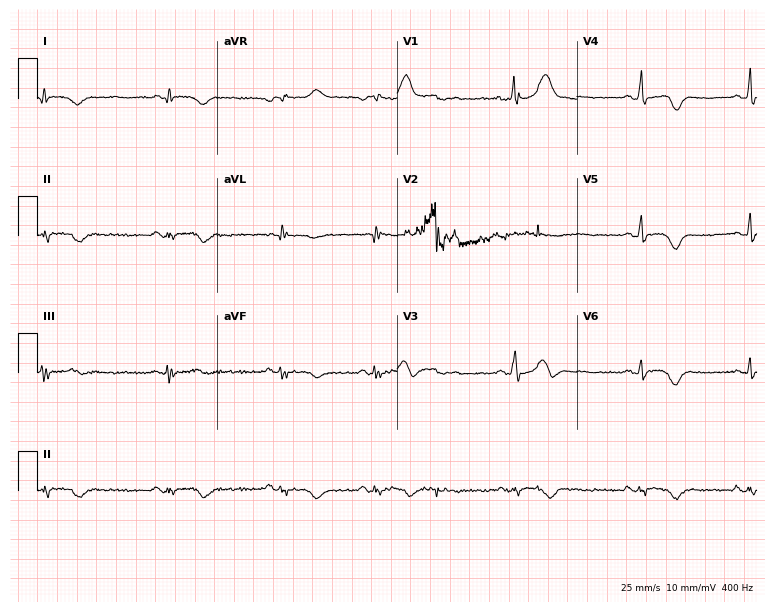
Electrocardiogram, a male, 31 years old. Of the six screened findings (first-degree AV block, right bundle branch block (RBBB), left bundle branch block (LBBB), sinus bradycardia, atrial fibrillation (AF), sinus tachycardia), none is recorded. Findings outside these six are not listed.